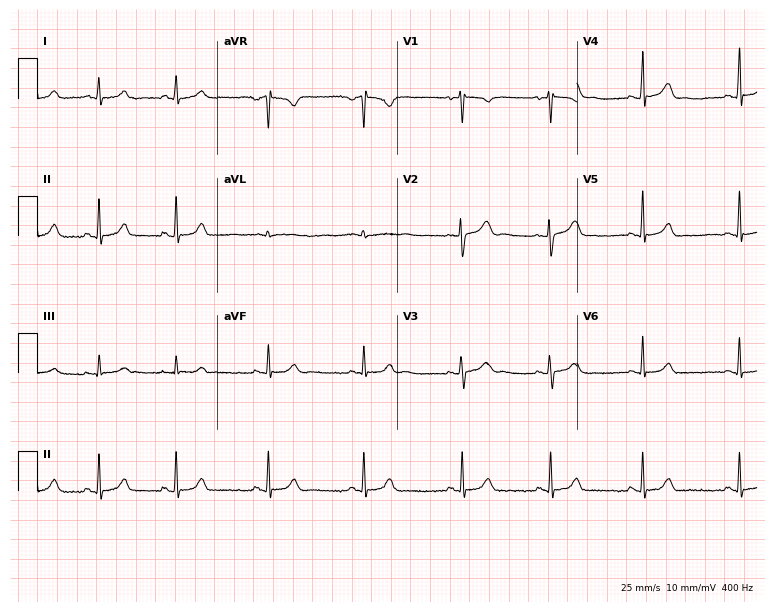
12-lead ECG from a 17-year-old woman. Labelled as a normal ECG.